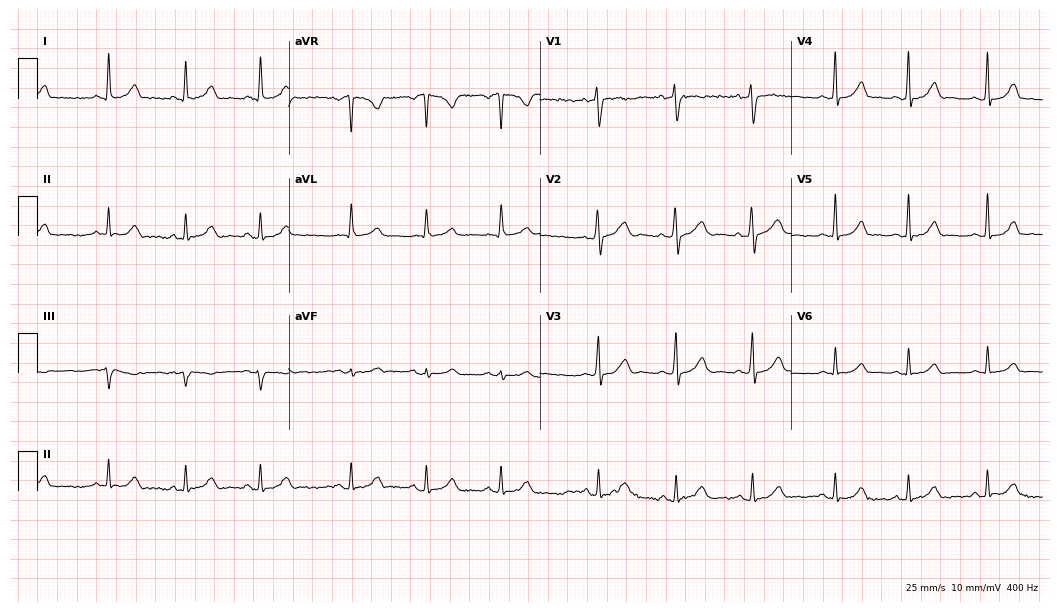
12-lead ECG (10.2-second recording at 400 Hz) from a female patient, 40 years old. Labelled as a normal ECG.